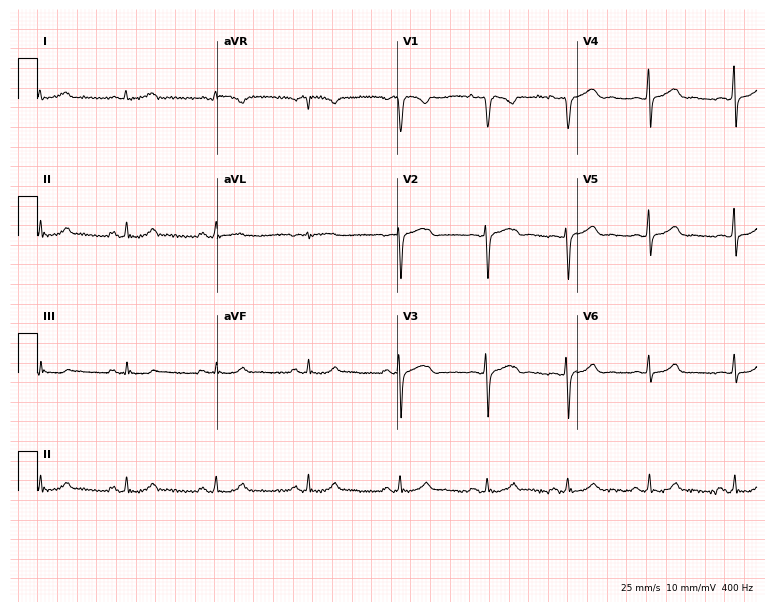
Electrocardiogram (7.3-second recording at 400 Hz), a 25-year-old female. Of the six screened findings (first-degree AV block, right bundle branch block, left bundle branch block, sinus bradycardia, atrial fibrillation, sinus tachycardia), none is recorded.